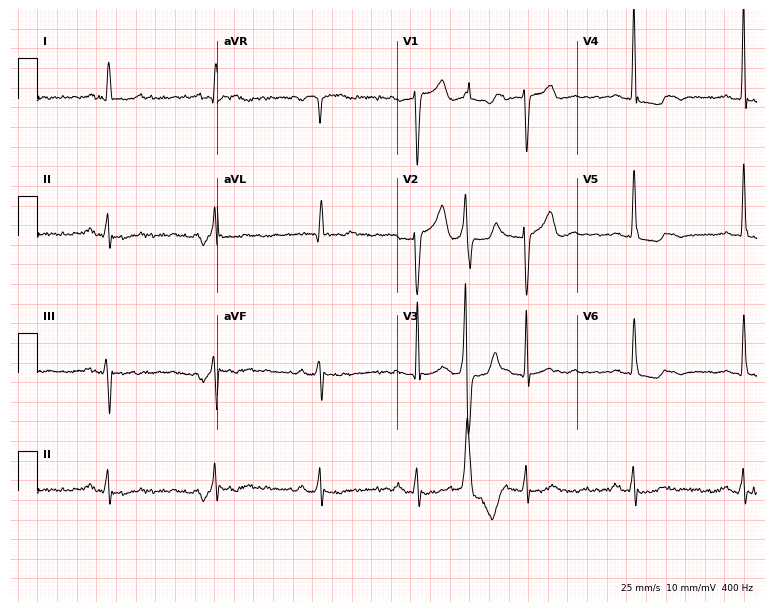
12-lead ECG (7.3-second recording at 400 Hz) from a 49-year-old female. Screened for six findings — first-degree AV block, right bundle branch block, left bundle branch block, sinus bradycardia, atrial fibrillation, sinus tachycardia — none is recorded. Other findings, if any, are not listed.